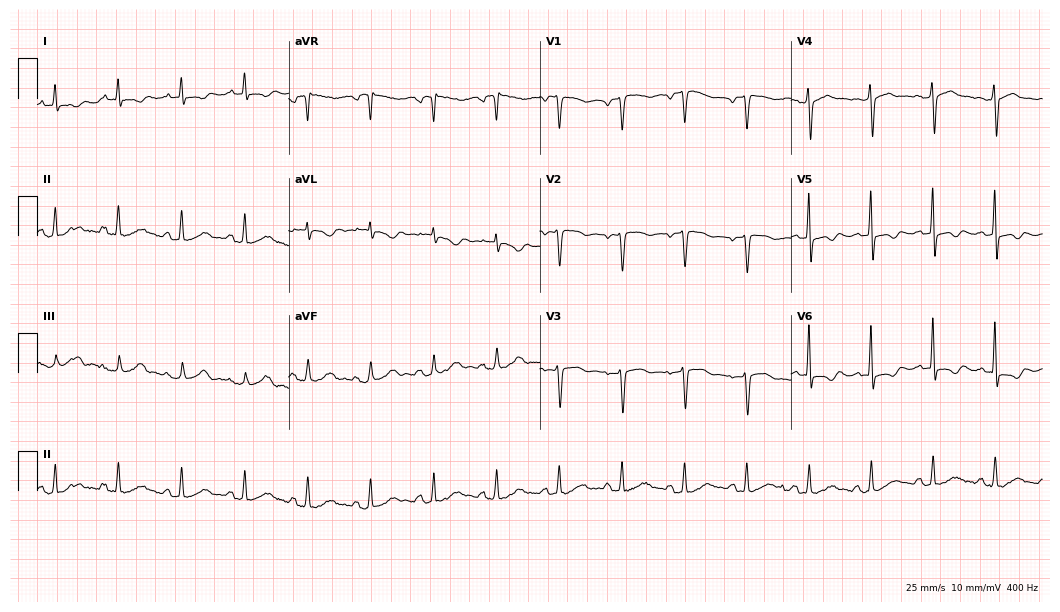
Standard 12-lead ECG recorded from a 61-year-old female. None of these six findings is recorded: first-degree AV block, right bundle branch block (RBBB), left bundle branch block (LBBB), sinus bradycardia, atrial fibrillation (AF), sinus tachycardia. Only these six findings were labelled.